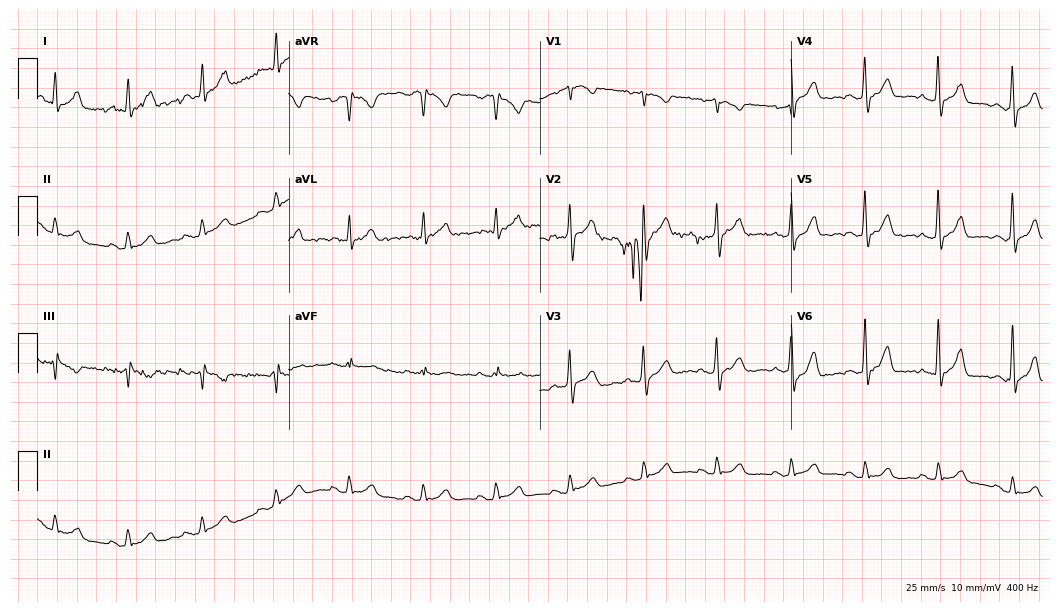
Standard 12-lead ECG recorded from a 59-year-old male (10.2-second recording at 400 Hz). Read as a normal ECG.